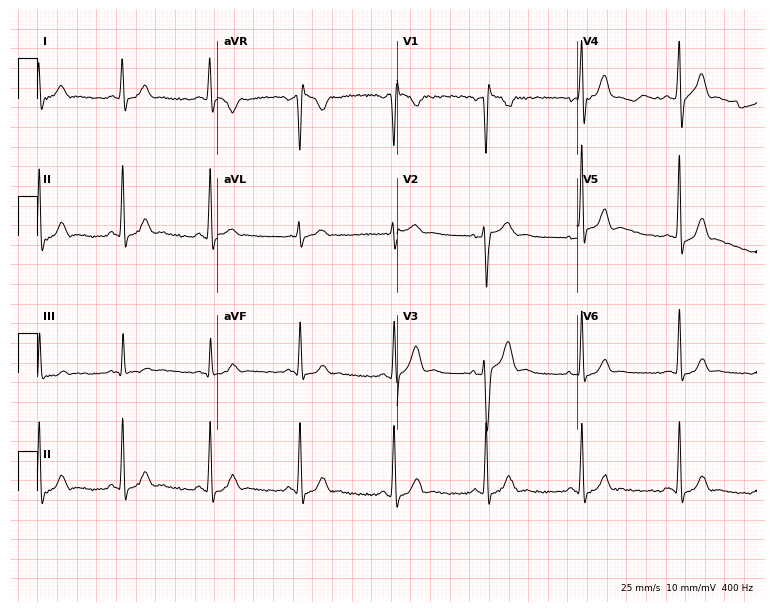
Standard 12-lead ECG recorded from a 44-year-old male patient (7.3-second recording at 400 Hz). None of these six findings is recorded: first-degree AV block, right bundle branch block, left bundle branch block, sinus bradycardia, atrial fibrillation, sinus tachycardia.